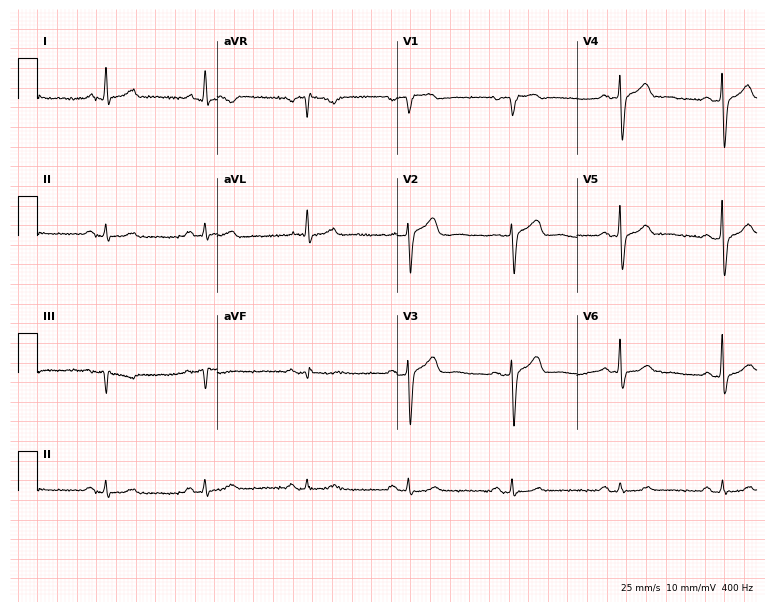
Electrocardiogram (7.3-second recording at 400 Hz), a man, 66 years old. Overall reading on record: normal ECG.